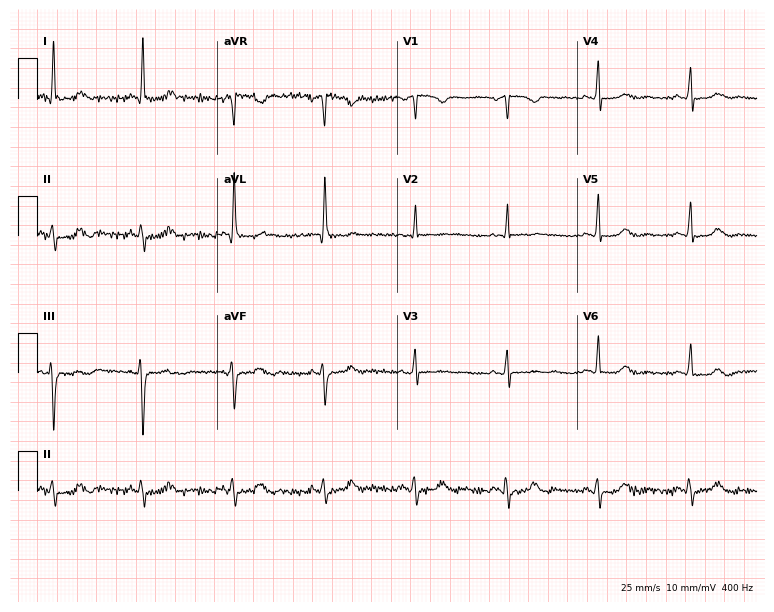
ECG (7.3-second recording at 400 Hz) — a 75-year-old female patient. Labelled as a normal ECG.